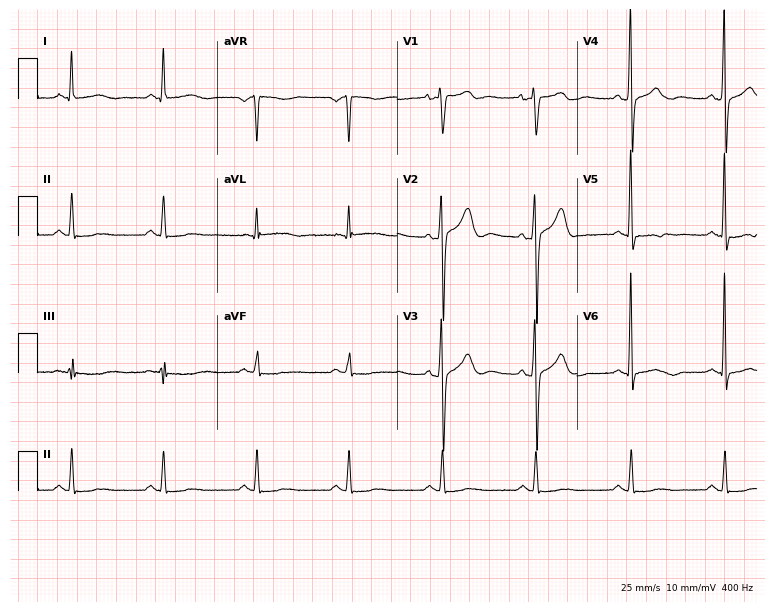
Electrocardiogram, a 64-year-old man. Of the six screened findings (first-degree AV block, right bundle branch block (RBBB), left bundle branch block (LBBB), sinus bradycardia, atrial fibrillation (AF), sinus tachycardia), none is recorded. Only these six findings were labelled.